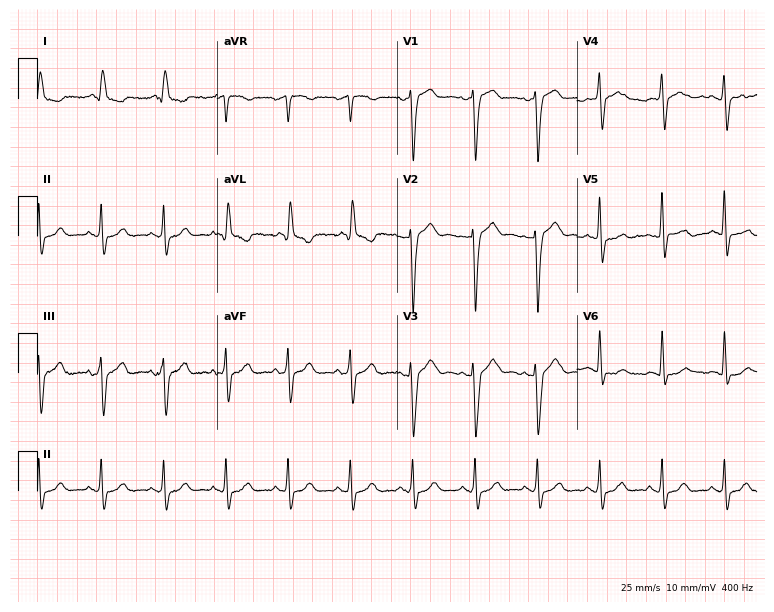
ECG — a man, 72 years old. Screened for six findings — first-degree AV block, right bundle branch block (RBBB), left bundle branch block (LBBB), sinus bradycardia, atrial fibrillation (AF), sinus tachycardia — none is recorded. Findings outside these six are not listed.